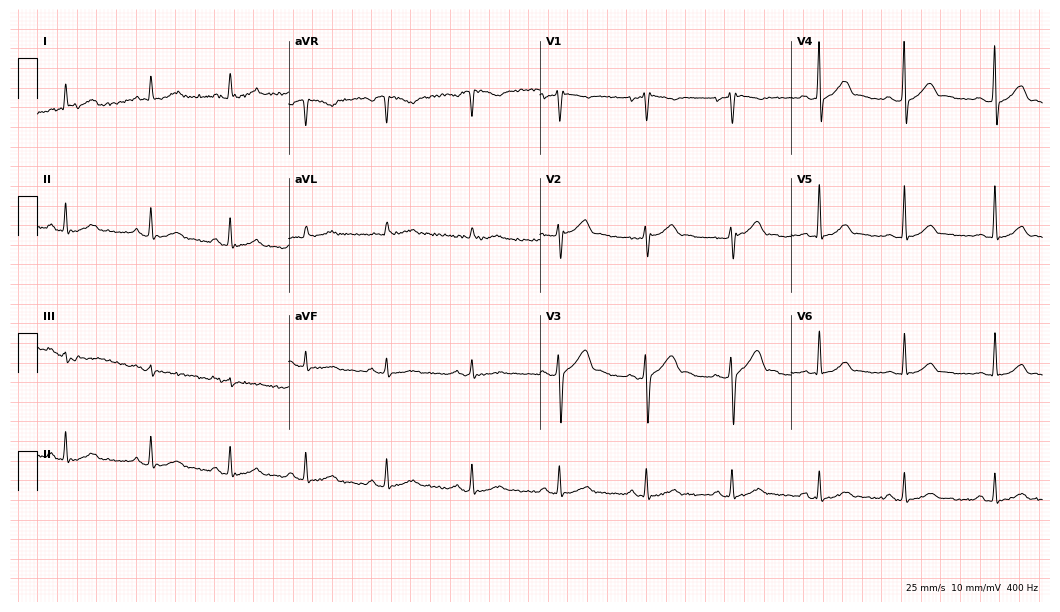
ECG — a 41-year-old man. Screened for six findings — first-degree AV block, right bundle branch block, left bundle branch block, sinus bradycardia, atrial fibrillation, sinus tachycardia — none is recorded. Only these six findings were labelled.